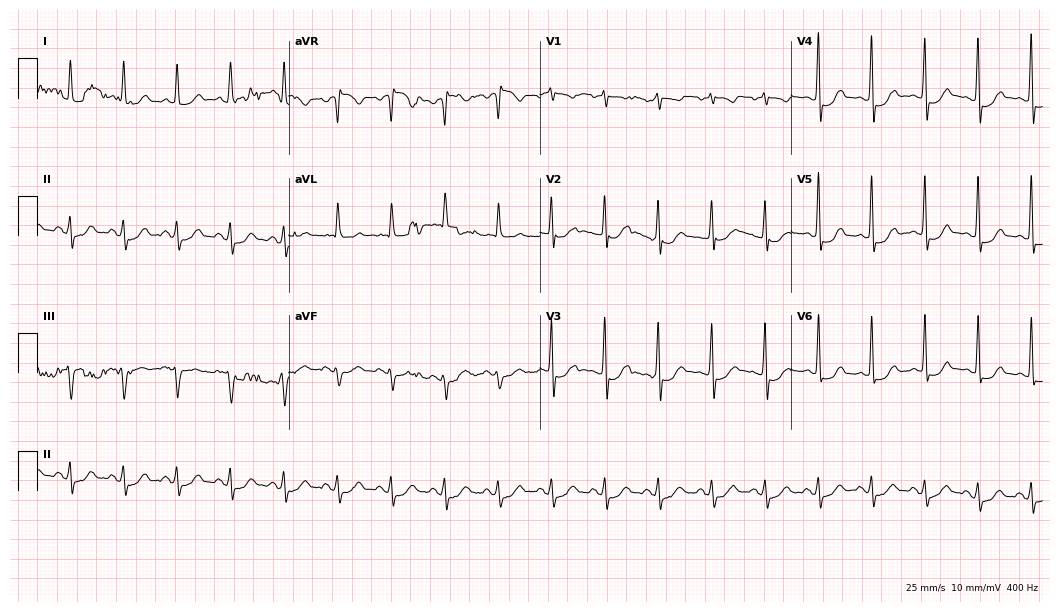
Electrocardiogram (10.2-second recording at 400 Hz), a female patient, 58 years old. Of the six screened findings (first-degree AV block, right bundle branch block, left bundle branch block, sinus bradycardia, atrial fibrillation, sinus tachycardia), none is recorded. Only these six findings were labelled.